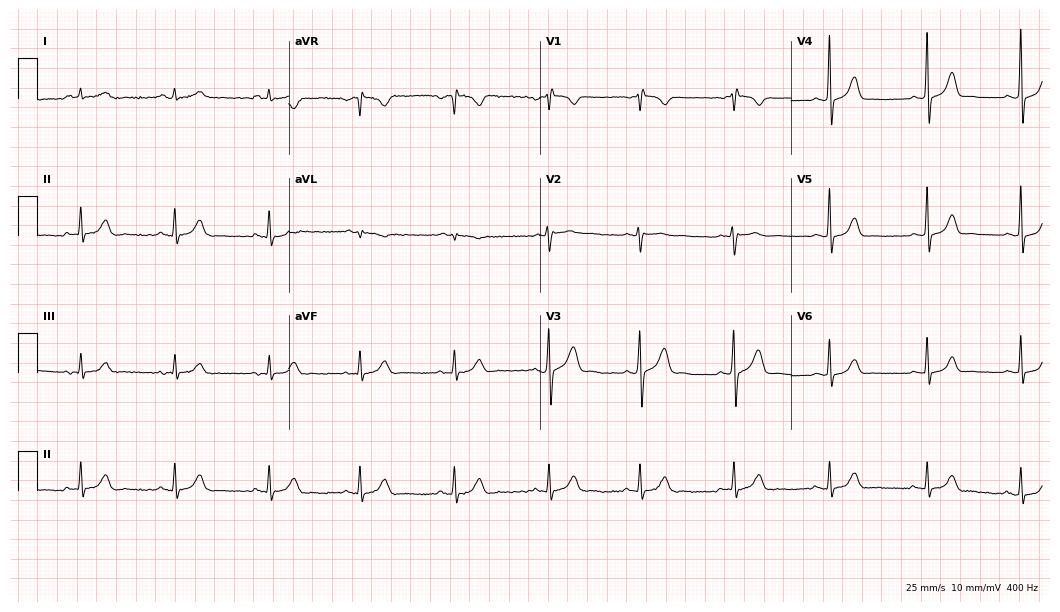
Resting 12-lead electrocardiogram (10.2-second recording at 400 Hz). Patient: a 35-year-old female. None of these six findings is recorded: first-degree AV block, right bundle branch block, left bundle branch block, sinus bradycardia, atrial fibrillation, sinus tachycardia. Only these six findings were labelled.